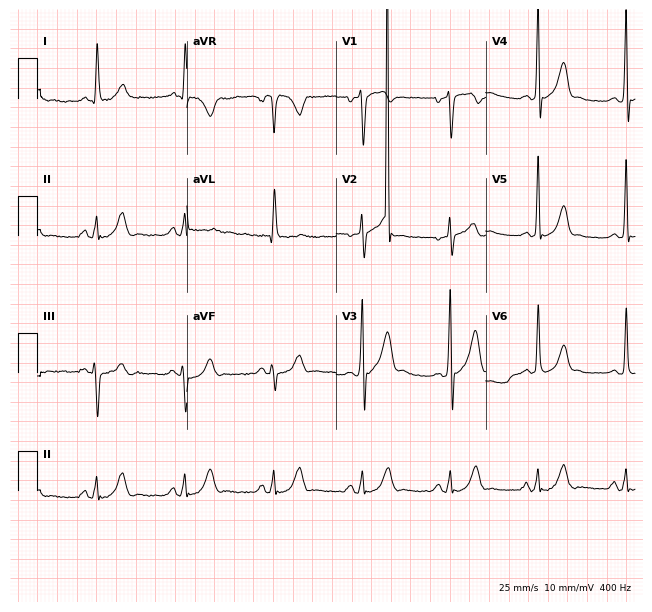
12-lead ECG from a 65-year-old male patient. Recorded interpretation: within normal limits.